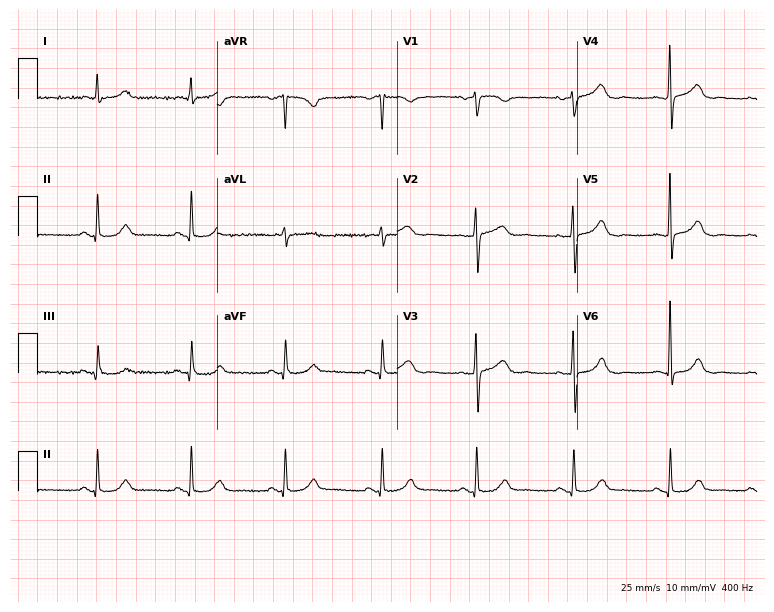
12-lead ECG from a 75-year-old female (7.3-second recording at 400 Hz). Recorded interpretation: within normal limits.